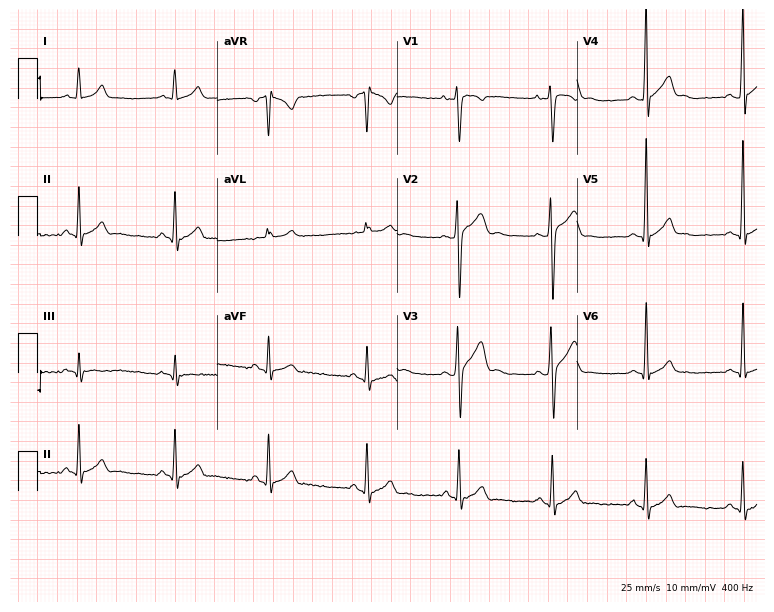
Standard 12-lead ECG recorded from a 19-year-old man. None of these six findings is recorded: first-degree AV block, right bundle branch block, left bundle branch block, sinus bradycardia, atrial fibrillation, sinus tachycardia.